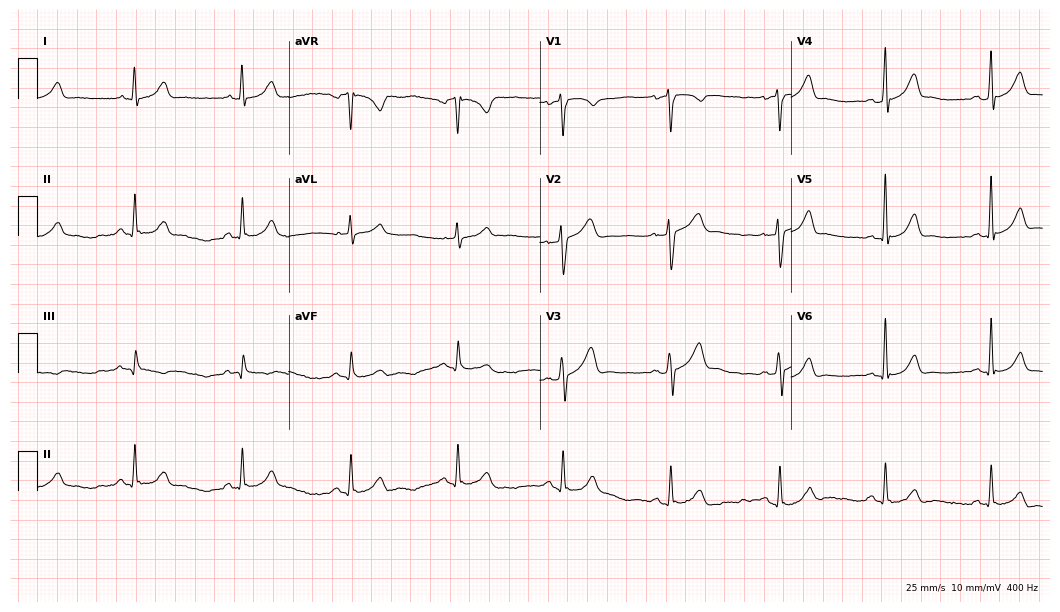
Standard 12-lead ECG recorded from a 35-year-old male patient (10.2-second recording at 400 Hz). Read as a normal ECG.